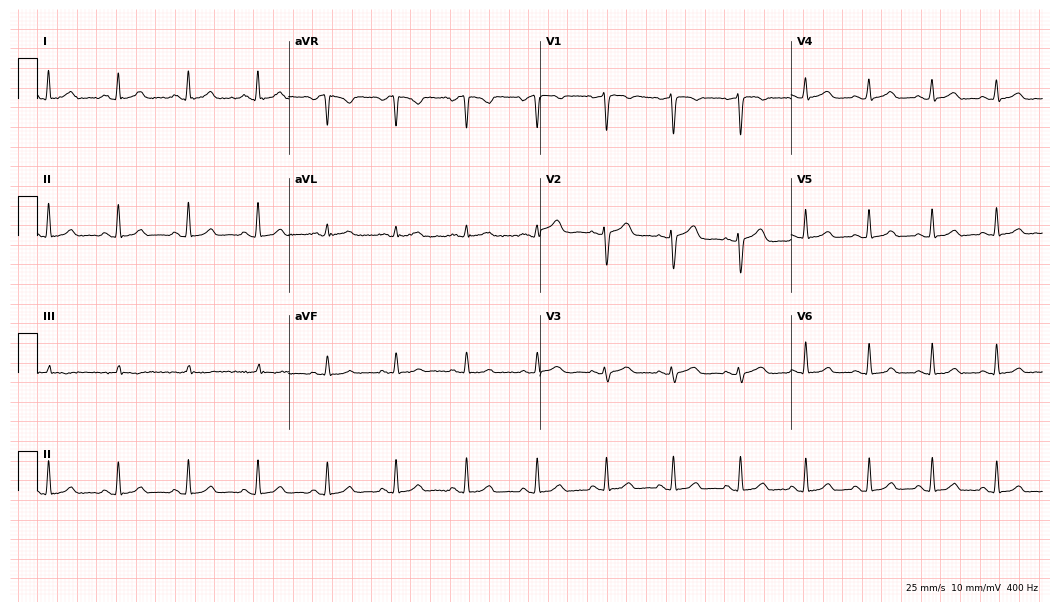
Electrocardiogram, a 36-year-old female. Overall reading on record: normal ECG.